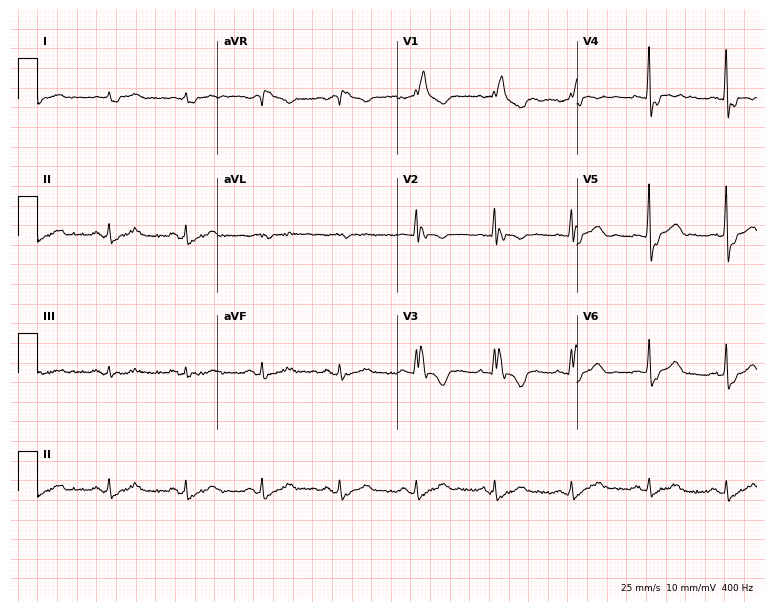
12-lead ECG from a man, 85 years old. Findings include right bundle branch block.